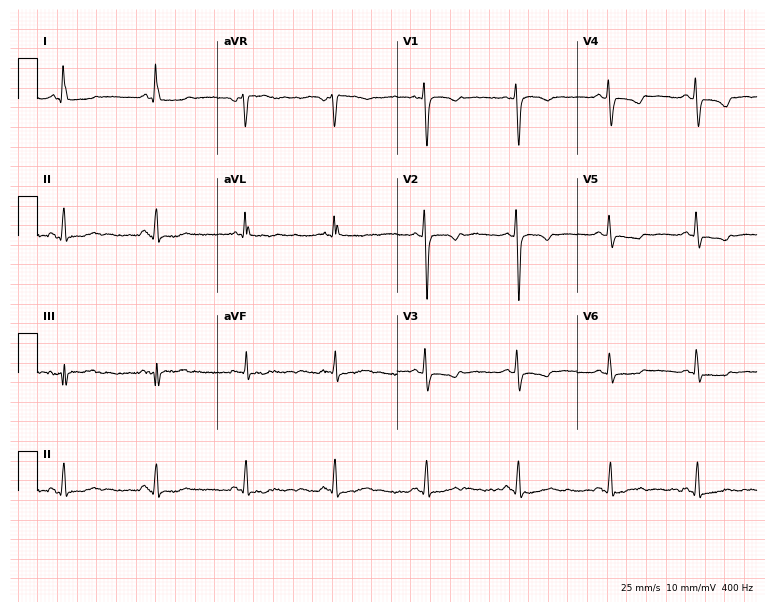
Electrocardiogram (7.3-second recording at 400 Hz), a 57-year-old female. Of the six screened findings (first-degree AV block, right bundle branch block (RBBB), left bundle branch block (LBBB), sinus bradycardia, atrial fibrillation (AF), sinus tachycardia), none is recorded.